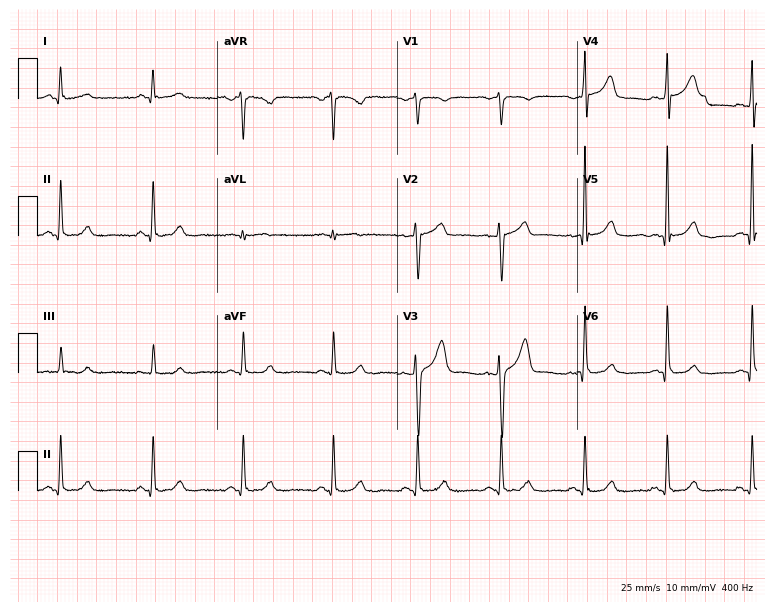
12-lead ECG (7.3-second recording at 400 Hz) from a 33-year-old man. Screened for six findings — first-degree AV block, right bundle branch block, left bundle branch block, sinus bradycardia, atrial fibrillation, sinus tachycardia — none is recorded. Other findings, if any, are not listed.